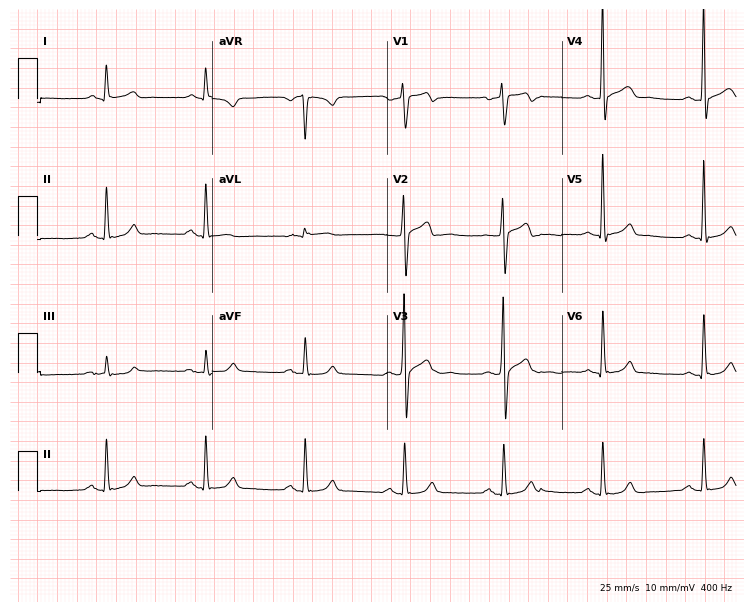
Standard 12-lead ECG recorded from a male patient, 61 years old (7.1-second recording at 400 Hz). Read as a normal ECG.